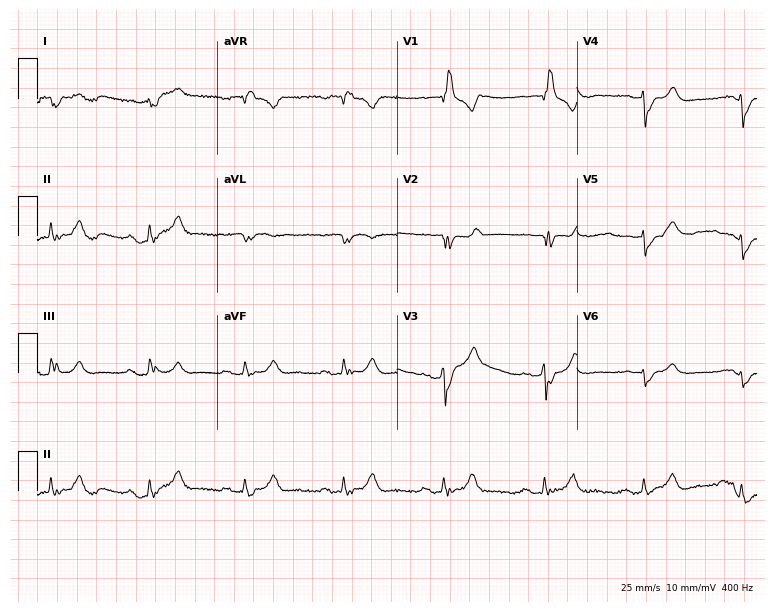
Standard 12-lead ECG recorded from a 63-year-old man (7.3-second recording at 400 Hz). The tracing shows right bundle branch block.